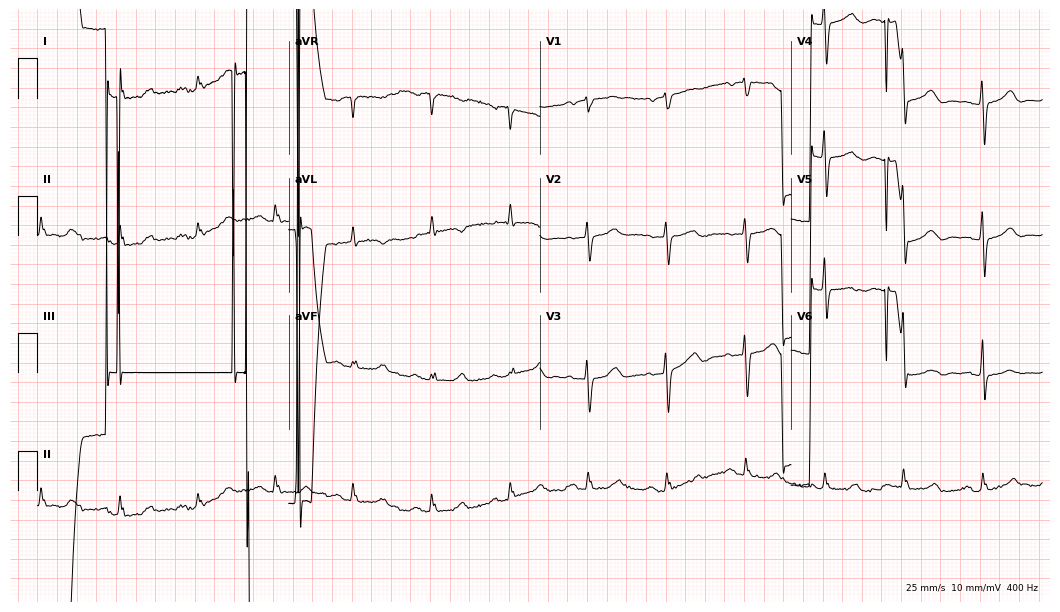
ECG (10.2-second recording at 400 Hz) — a 73-year-old woman. Screened for six findings — first-degree AV block, right bundle branch block (RBBB), left bundle branch block (LBBB), sinus bradycardia, atrial fibrillation (AF), sinus tachycardia — none is recorded. Only these six findings were labelled.